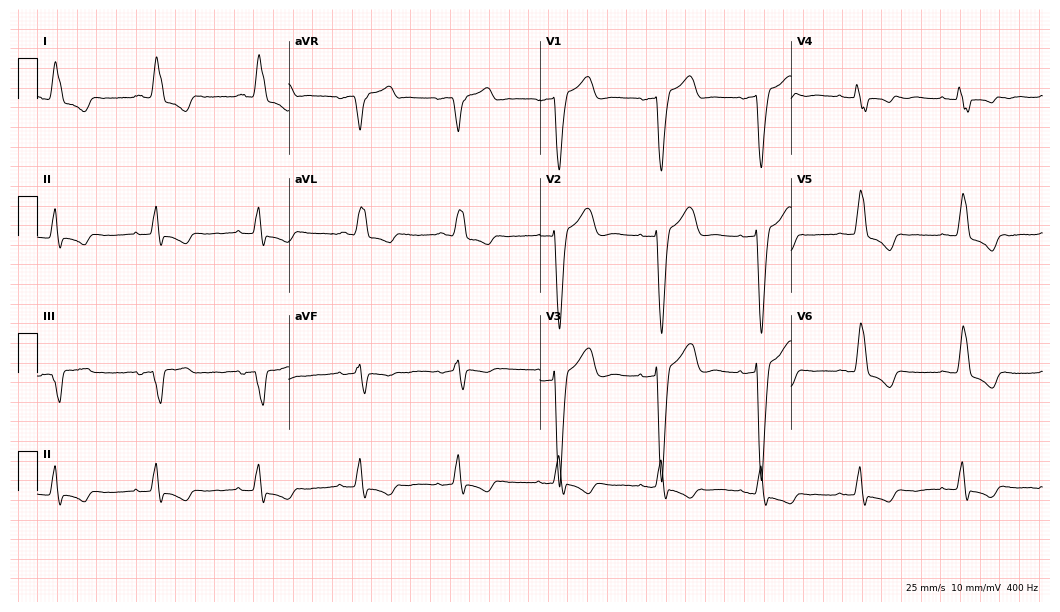
Standard 12-lead ECG recorded from a female, 65 years old (10.2-second recording at 400 Hz). The tracing shows left bundle branch block.